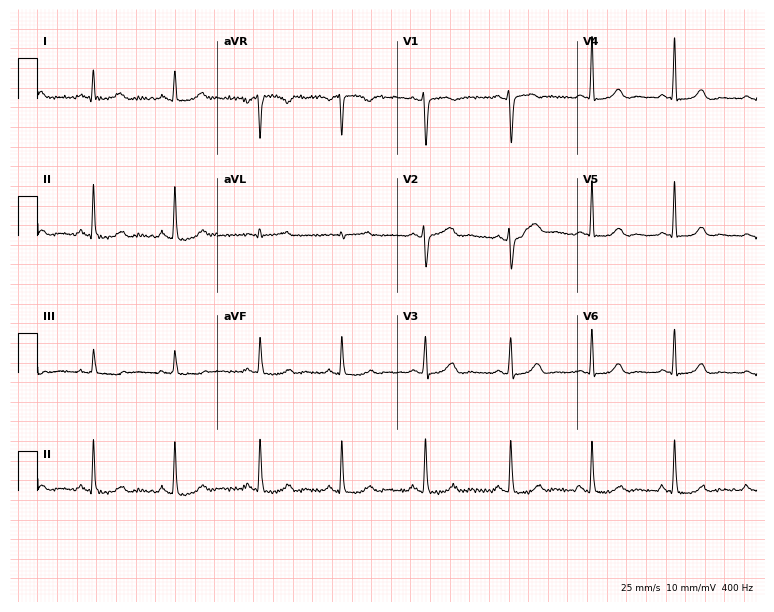
12-lead ECG from a 47-year-old female (7.3-second recording at 400 Hz). No first-degree AV block, right bundle branch block, left bundle branch block, sinus bradycardia, atrial fibrillation or sinus tachycardia recorded for this tracing.